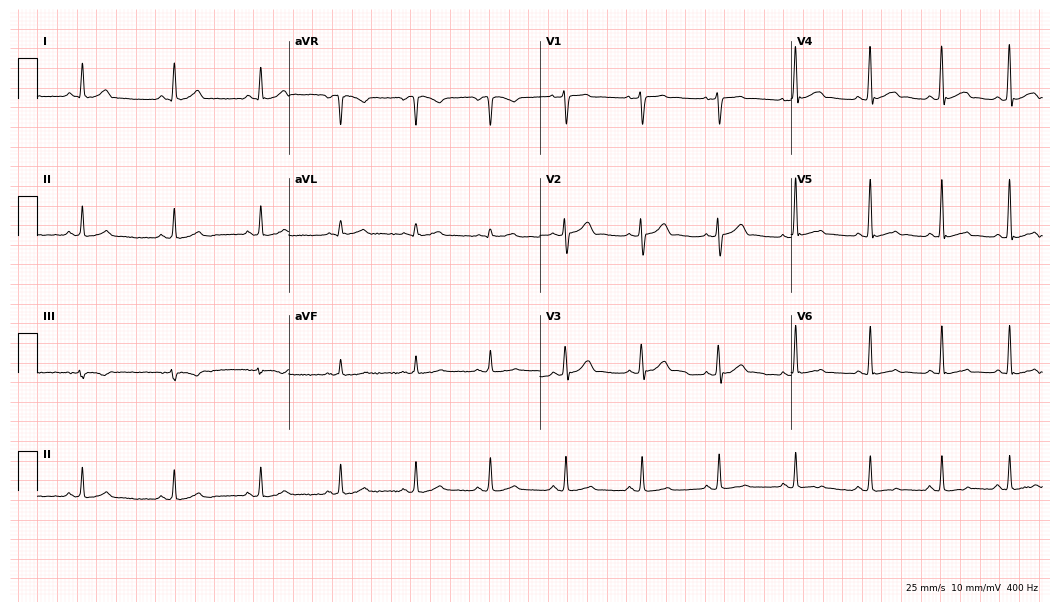
12-lead ECG (10.2-second recording at 400 Hz) from a 44-year-old male. Screened for six findings — first-degree AV block, right bundle branch block, left bundle branch block, sinus bradycardia, atrial fibrillation, sinus tachycardia — none is recorded.